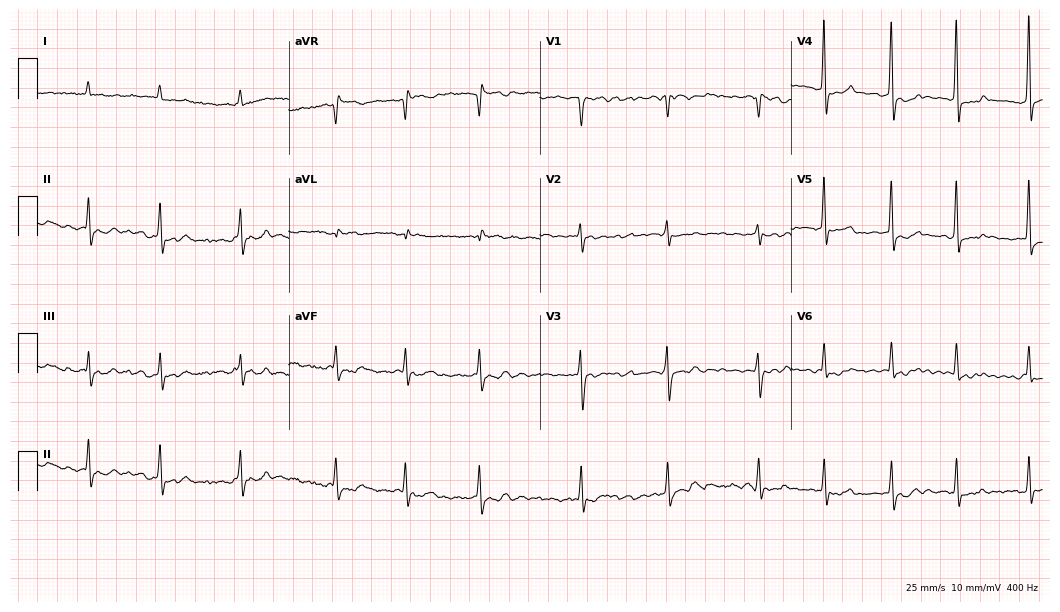
ECG (10.2-second recording at 400 Hz) — a 69-year-old man. Findings include atrial fibrillation.